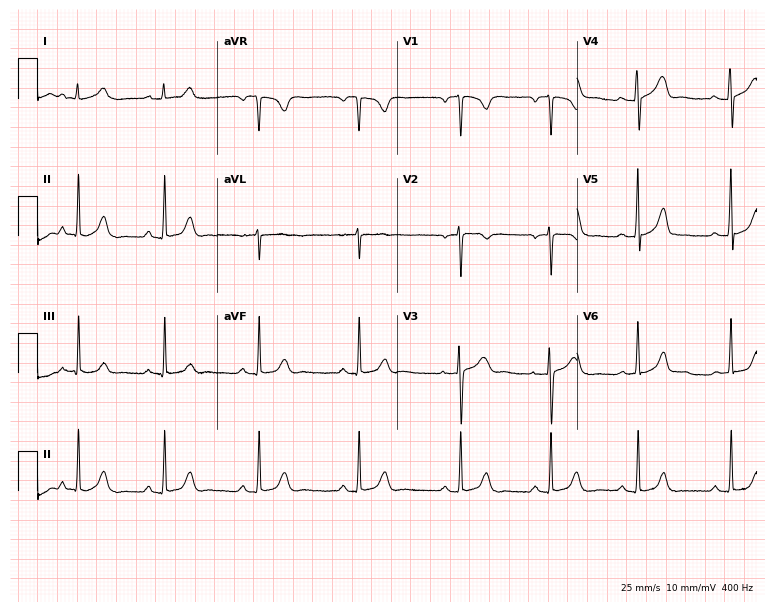
Electrocardiogram (7.3-second recording at 400 Hz), a 37-year-old female patient. Overall reading on record: normal ECG.